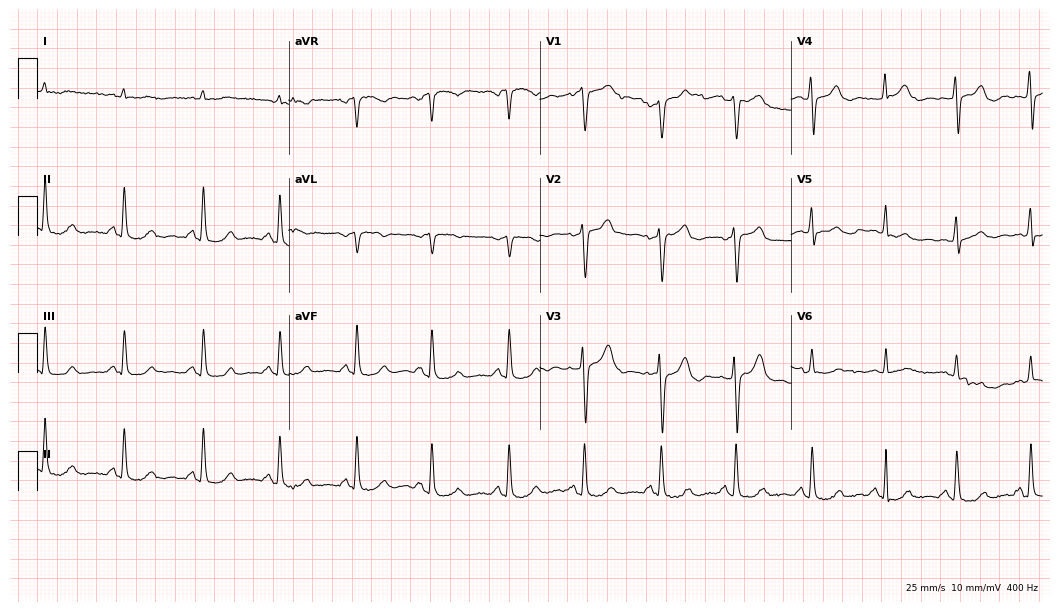
Electrocardiogram (10.2-second recording at 400 Hz), a 73-year-old male patient. Of the six screened findings (first-degree AV block, right bundle branch block (RBBB), left bundle branch block (LBBB), sinus bradycardia, atrial fibrillation (AF), sinus tachycardia), none is recorded.